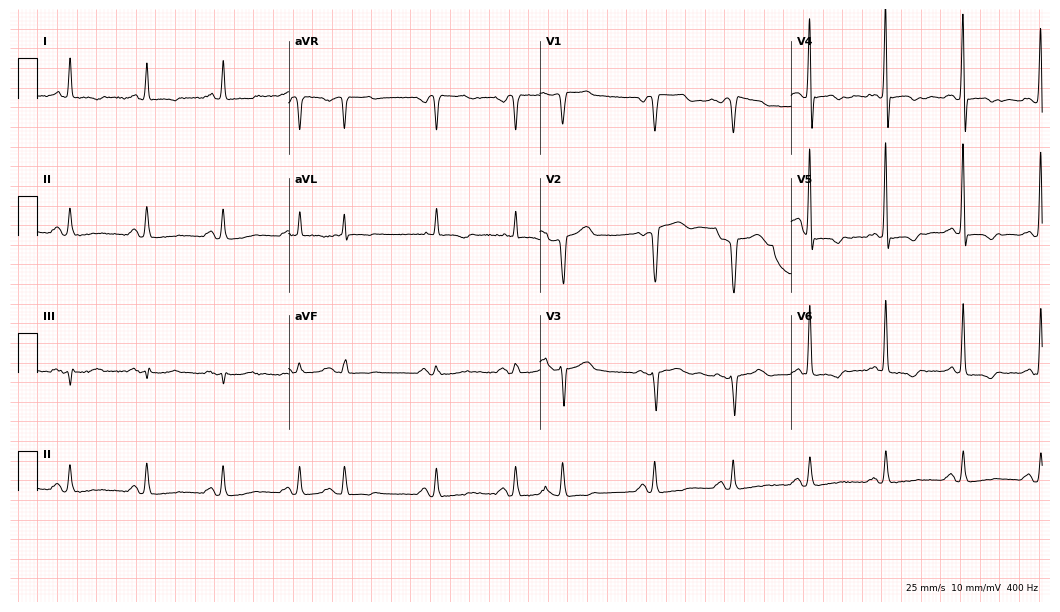
12-lead ECG (10.2-second recording at 400 Hz) from a female, 84 years old. Screened for six findings — first-degree AV block, right bundle branch block, left bundle branch block, sinus bradycardia, atrial fibrillation, sinus tachycardia — none is recorded.